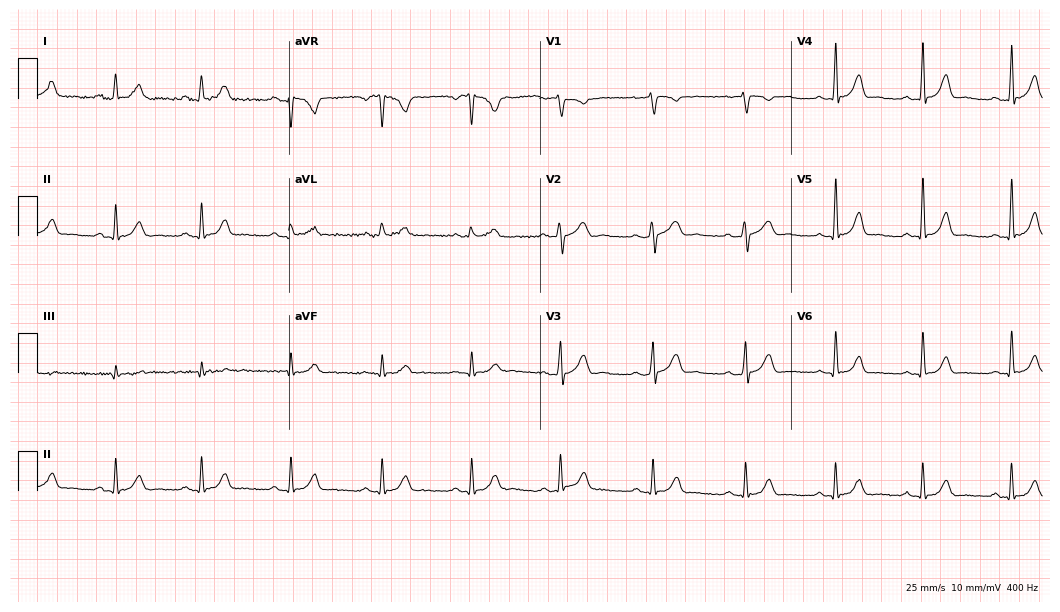
ECG — a woman, 35 years old. Labelled as a normal ECG.